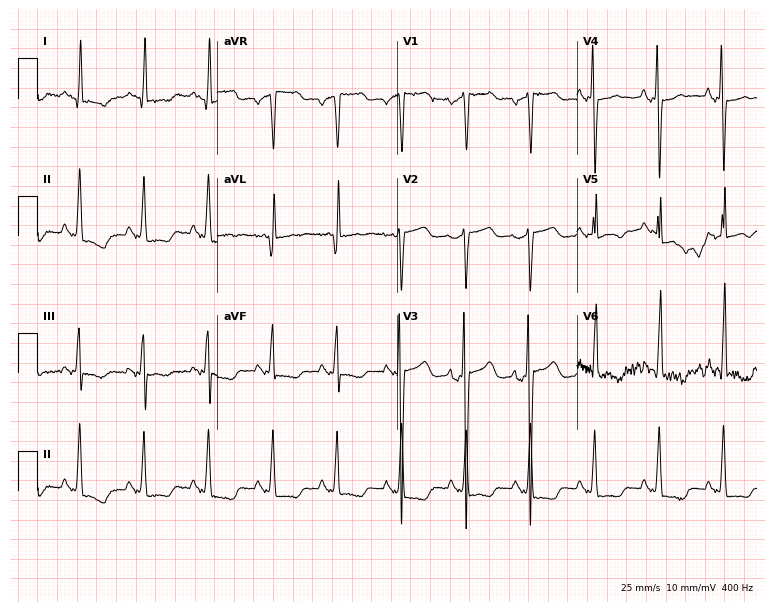
Standard 12-lead ECG recorded from a woman, 74 years old. None of these six findings is recorded: first-degree AV block, right bundle branch block, left bundle branch block, sinus bradycardia, atrial fibrillation, sinus tachycardia.